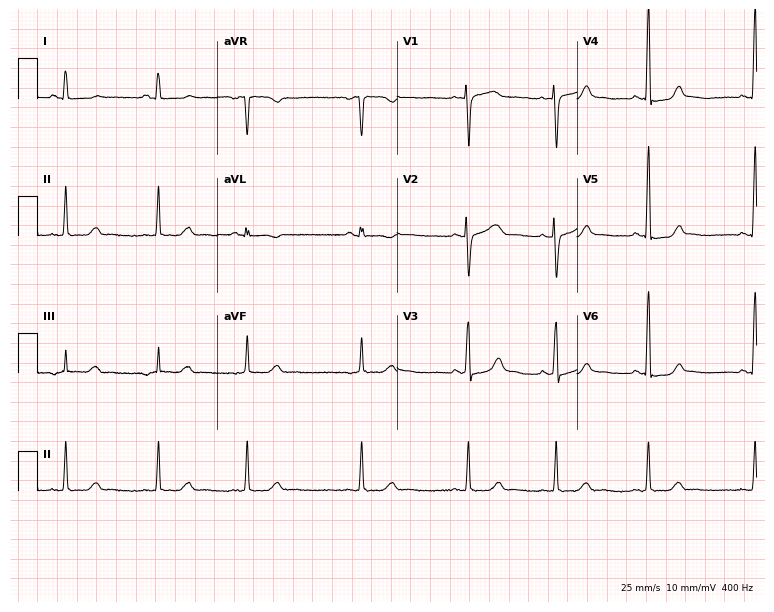
Resting 12-lead electrocardiogram. Patient: a 30-year-old female. None of these six findings is recorded: first-degree AV block, right bundle branch block, left bundle branch block, sinus bradycardia, atrial fibrillation, sinus tachycardia. Findings outside these six are not listed.